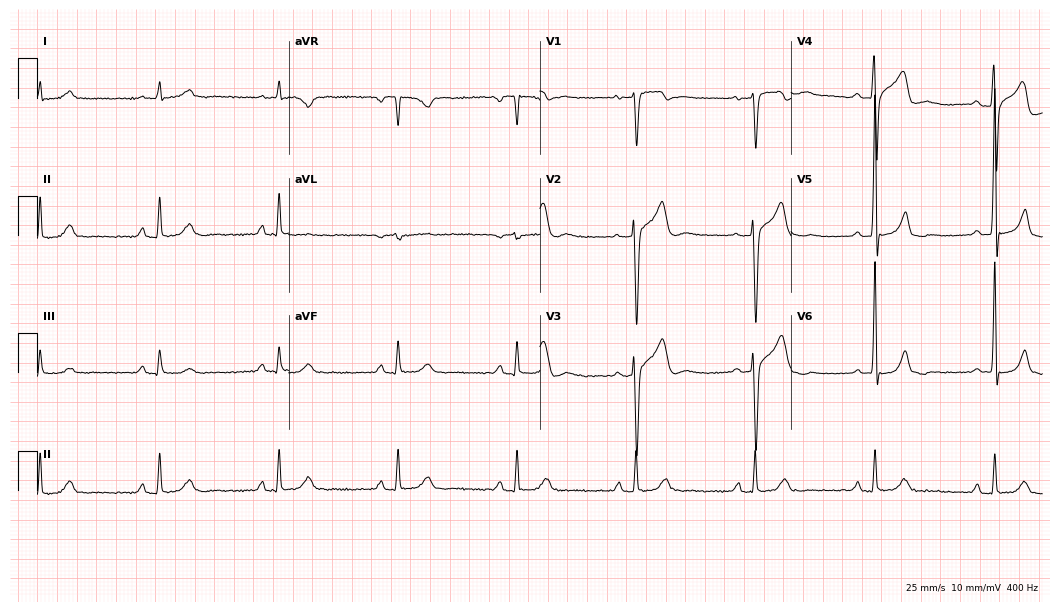
ECG (10.2-second recording at 400 Hz) — a 52-year-old male. Findings include sinus bradycardia (a sinus rate of 50 beats per minute or less).